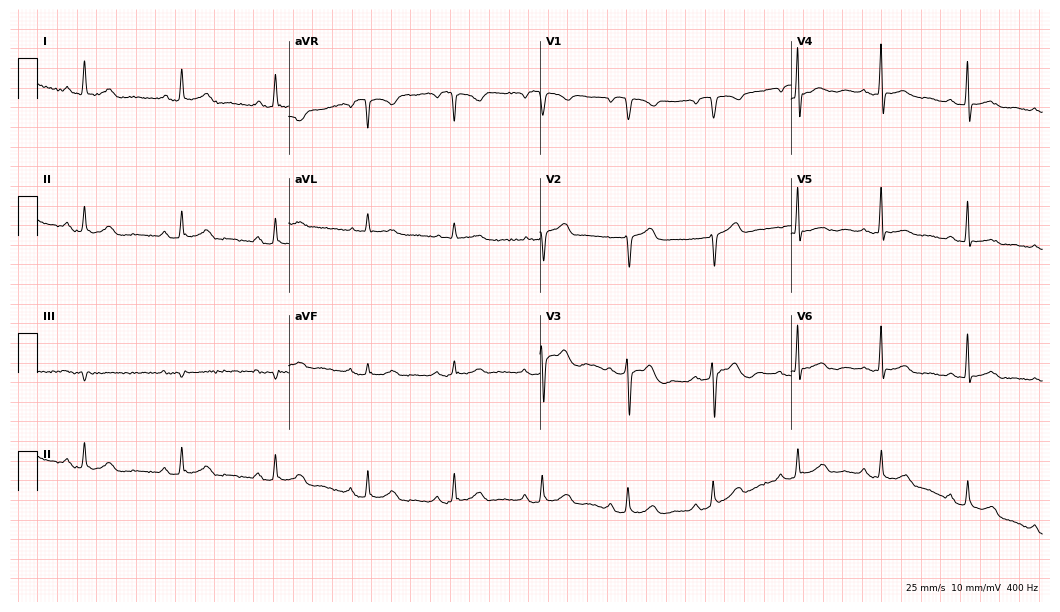
Electrocardiogram, a 58-year-old woman. Of the six screened findings (first-degree AV block, right bundle branch block, left bundle branch block, sinus bradycardia, atrial fibrillation, sinus tachycardia), none is recorded.